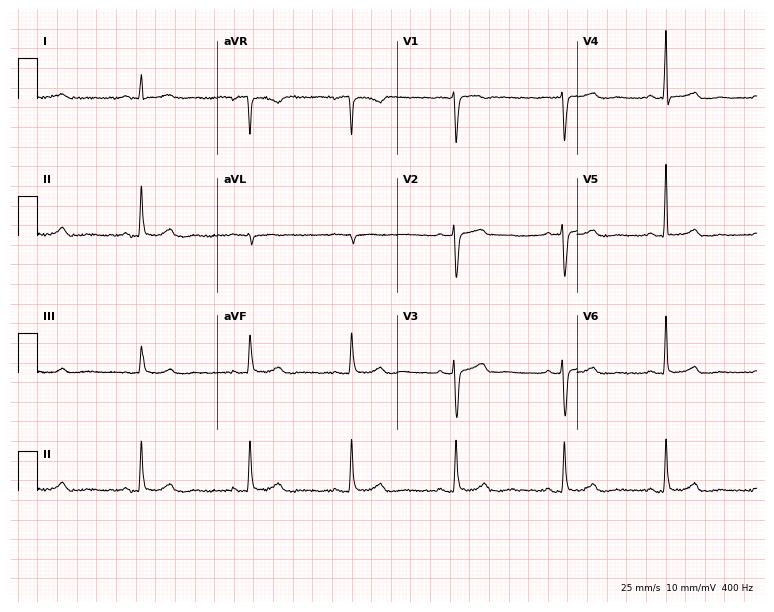
Standard 12-lead ECG recorded from a female patient, 50 years old. Read as a normal ECG.